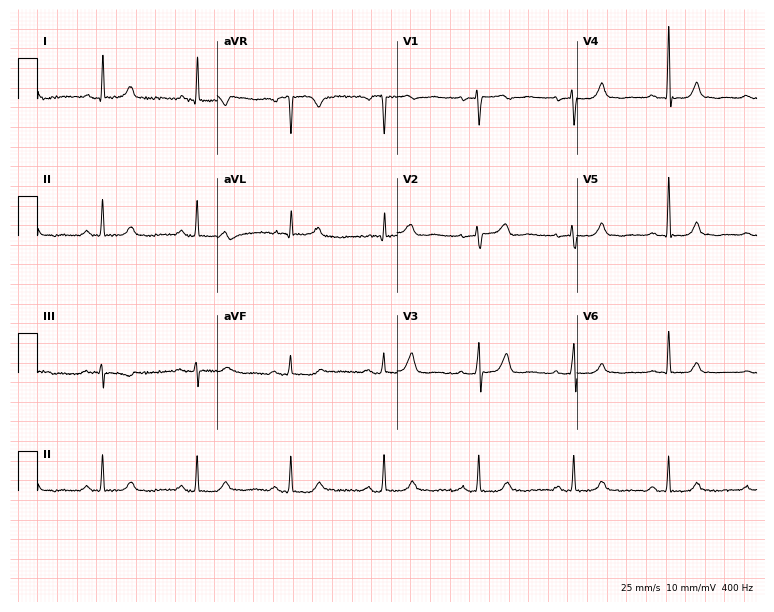
12-lead ECG (7.3-second recording at 400 Hz) from a woman, 74 years old. Labelled as a normal ECG.